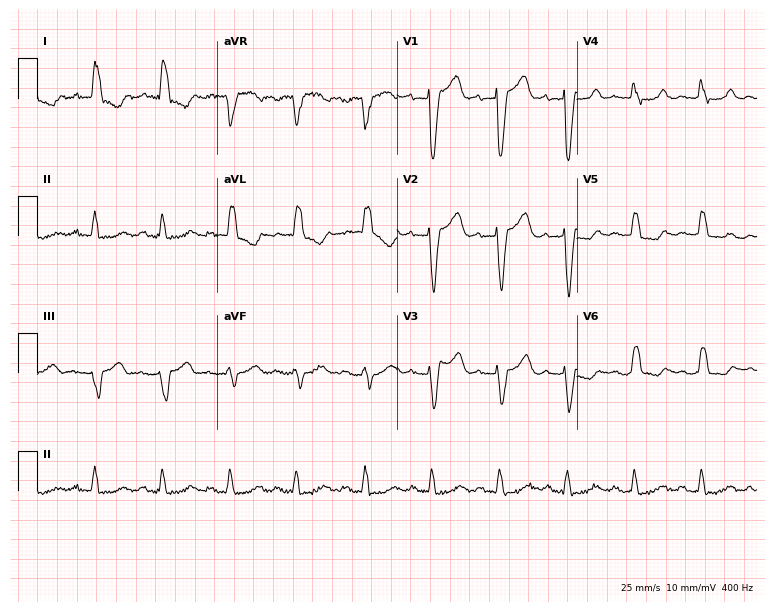
Standard 12-lead ECG recorded from an 84-year-old woman. The tracing shows left bundle branch block.